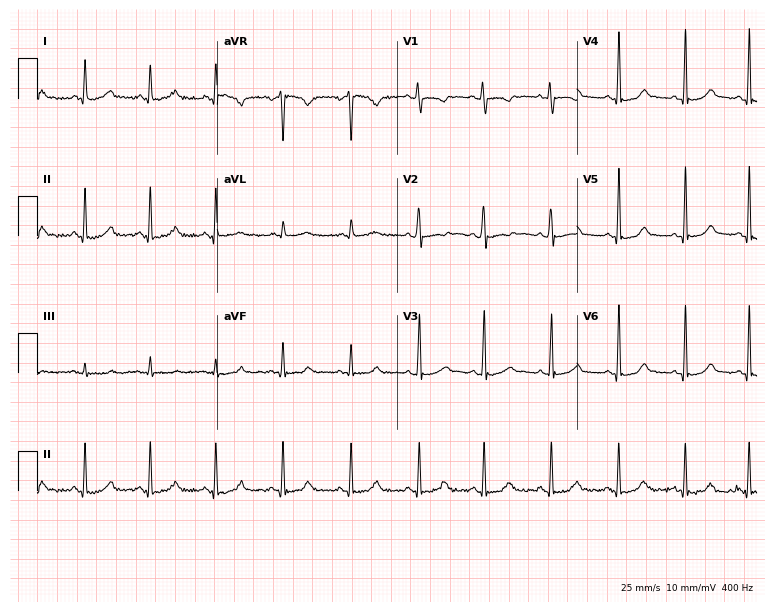
Electrocardiogram (7.3-second recording at 400 Hz), a female, 26 years old. Overall reading on record: normal ECG.